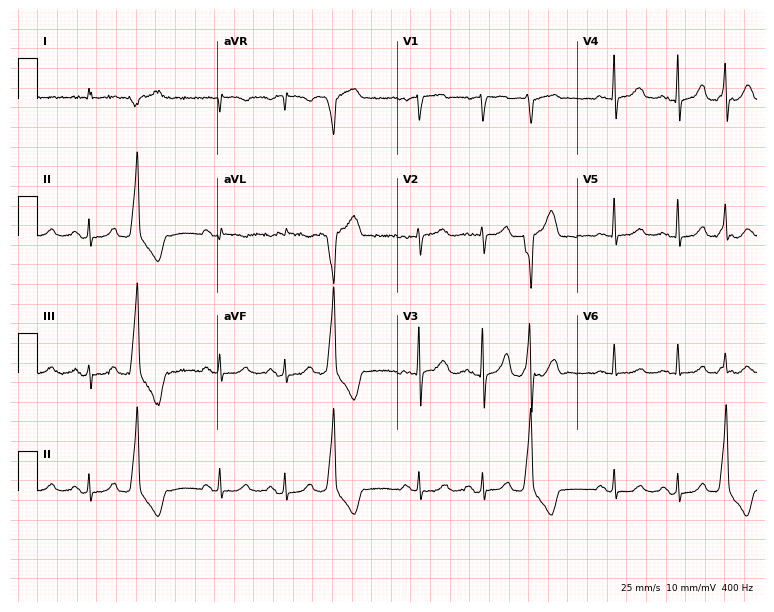
12-lead ECG from a 73-year-old male (7.3-second recording at 400 Hz). No first-degree AV block, right bundle branch block, left bundle branch block, sinus bradycardia, atrial fibrillation or sinus tachycardia recorded for this tracing. Only these six findings were labelled.